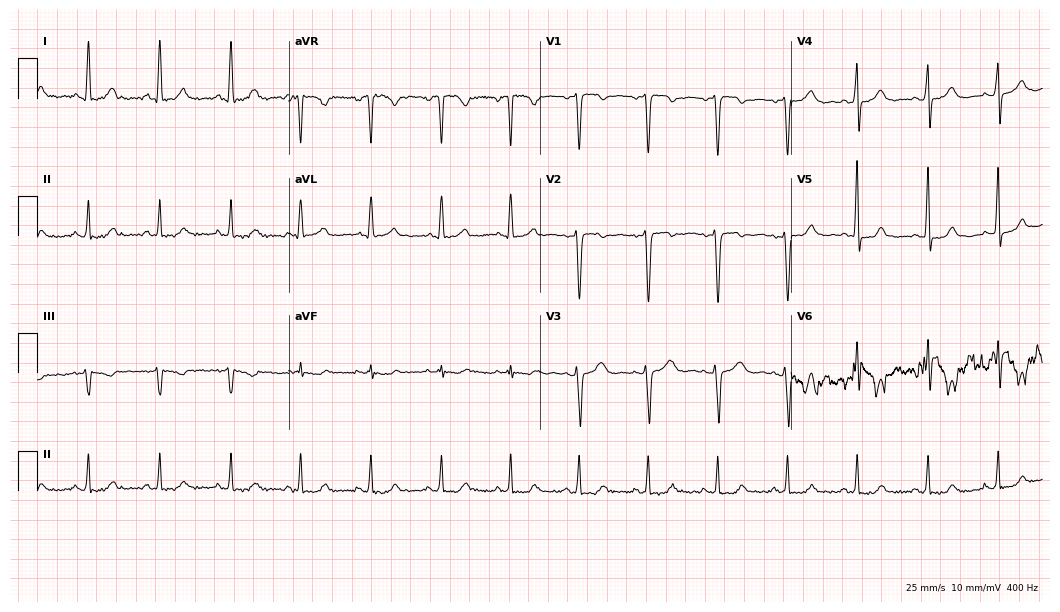
Electrocardiogram (10.2-second recording at 400 Hz), a female, 45 years old. Overall reading on record: normal ECG.